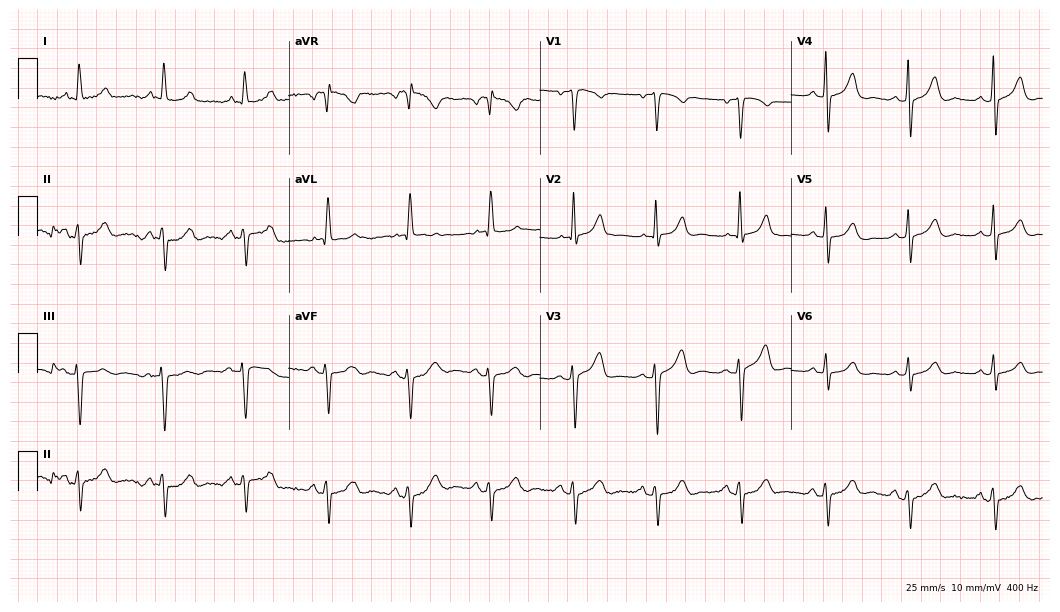
Resting 12-lead electrocardiogram. Patient: a 73-year-old woman. None of these six findings is recorded: first-degree AV block, right bundle branch block, left bundle branch block, sinus bradycardia, atrial fibrillation, sinus tachycardia. Other findings, if any, are not listed.